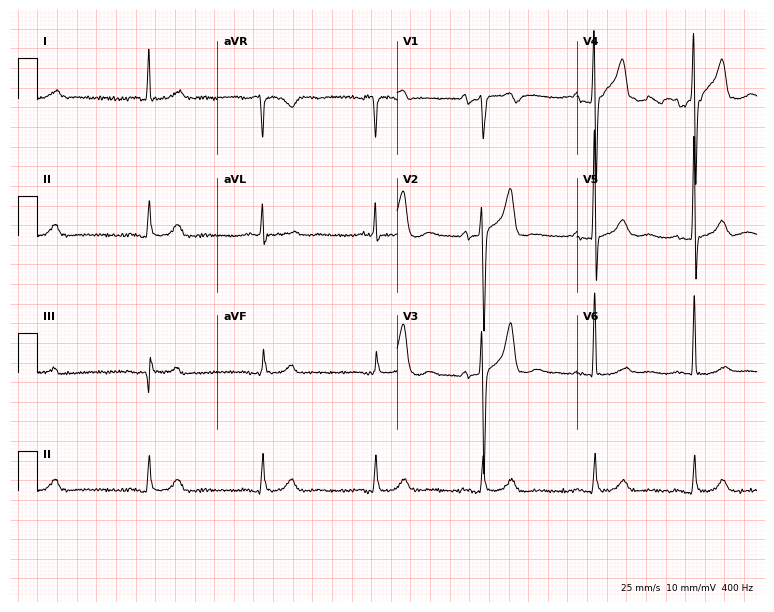
12-lead ECG from a male patient, 70 years old. Screened for six findings — first-degree AV block, right bundle branch block, left bundle branch block, sinus bradycardia, atrial fibrillation, sinus tachycardia — none is recorded. Findings outside these six are not listed.